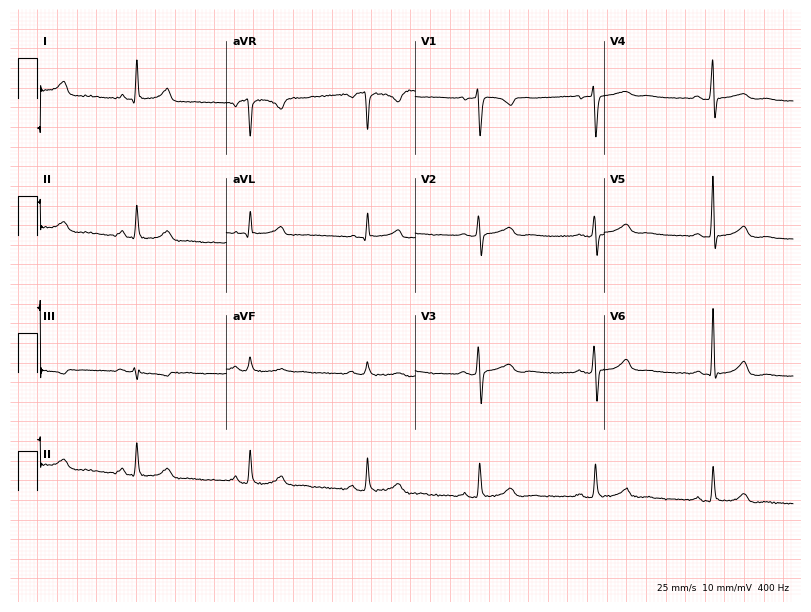
ECG (7.7-second recording at 400 Hz) — a female, 57 years old. Labelled as a normal ECG.